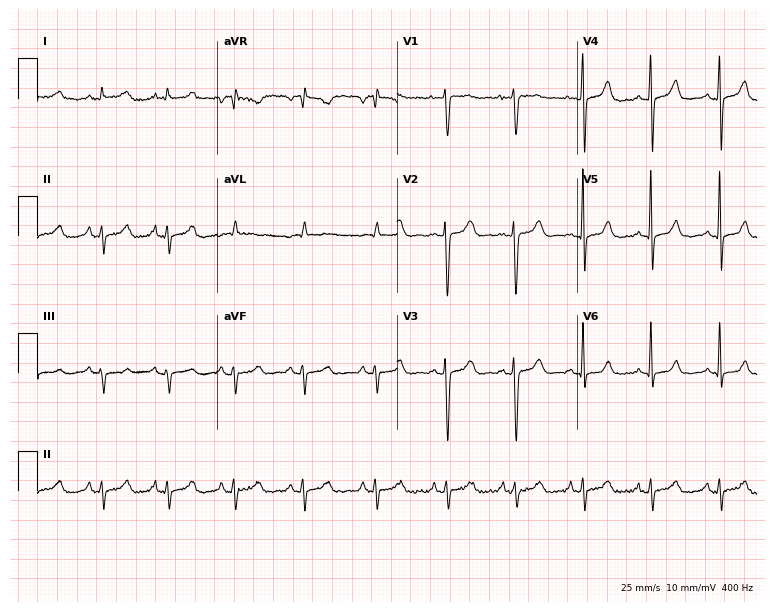
12-lead ECG from a woman, 52 years old. No first-degree AV block, right bundle branch block, left bundle branch block, sinus bradycardia, atrial fibrillation or sinus tachycardia recorded for this tracing.